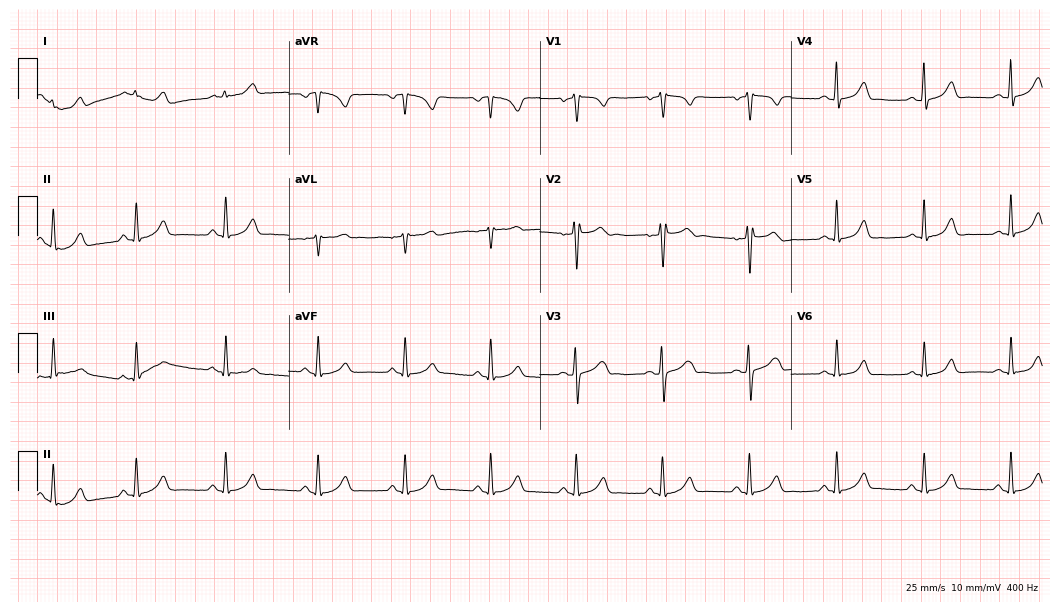
Electrocardiogram (10.2-second recording at 400 Hz), a female, 29 years old. Of the six screened findings (first-degree AV block, right bundle branch block, left bundle branch block, sinus bradycardia, atrial fibrillation, sinus tachycardia), none is recorded.